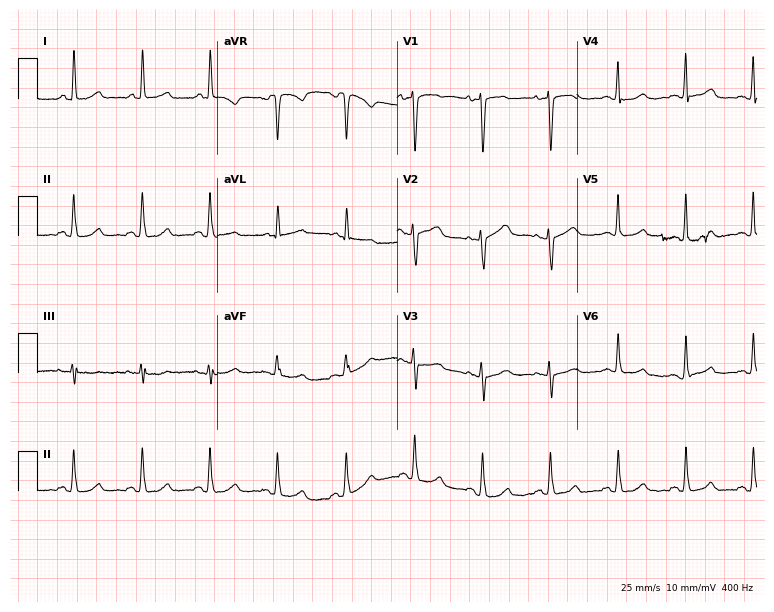
12-lead ECG from a 47-year-old female patient. Recorded interpretation: within normal limits.